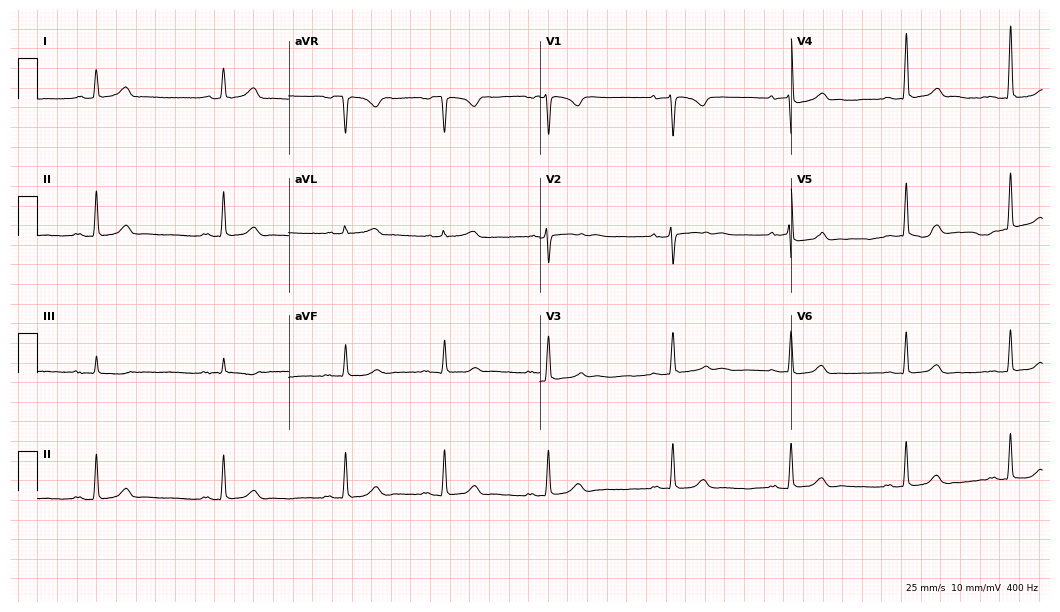
12-lead ECG from a female, 34 years old (10.2-second recording at 400 Hz). Recorded interpretation: within normal limits.